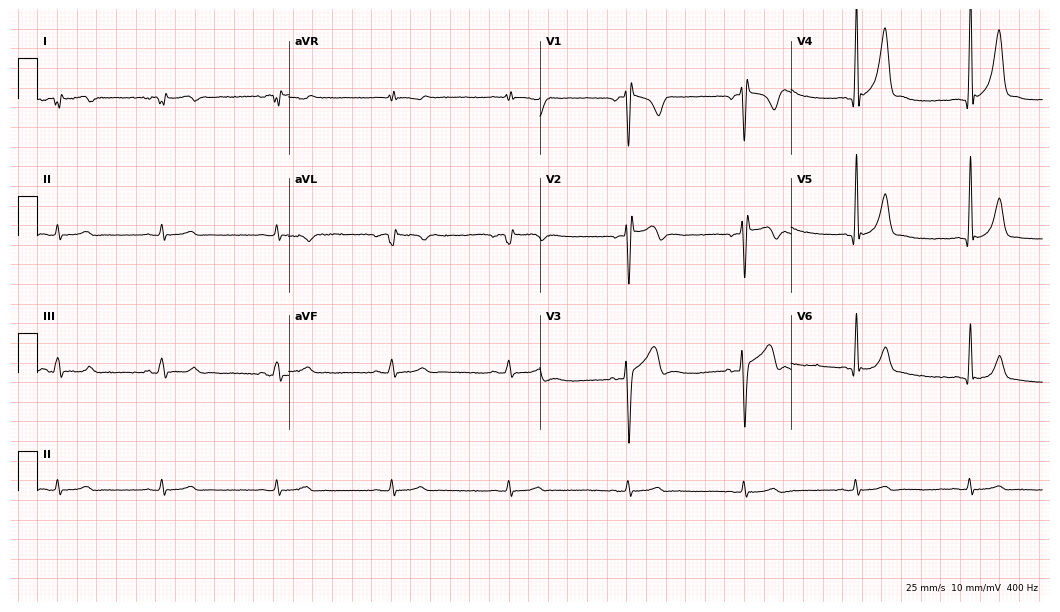
Resting 12-lead electrocardiogram (10.2-second recording at 400 Hz). Patient: a 26-year-old male. None of these six findings is recorded: first-degree AV block, right bundle branch block, left bundle branch block, sinus bradycardia, atrial fibrillation, sinus tachycardia. Findings outside these six are not listed.